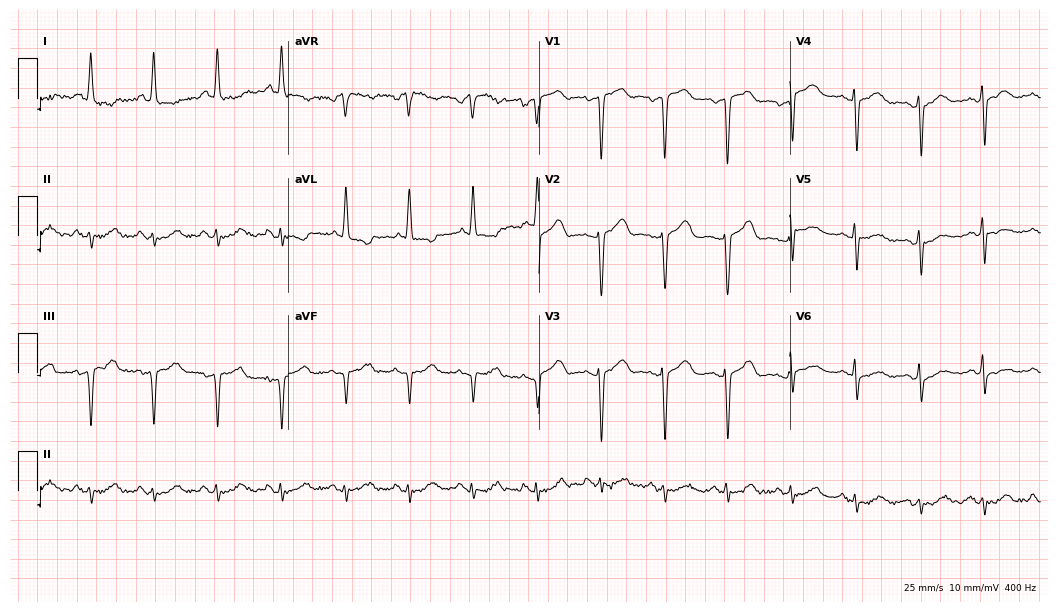
Standard 12-lead ECG recorded from a 79-year-old female patient (10.2-second recording at 400 Hz). None of these six findings is recorded: first-degree AV block, right bundle branch block, left bundle branch block, sinus bradycardia, atrial fibrillation, sinus tachycardia. Only these six findings were labelled.